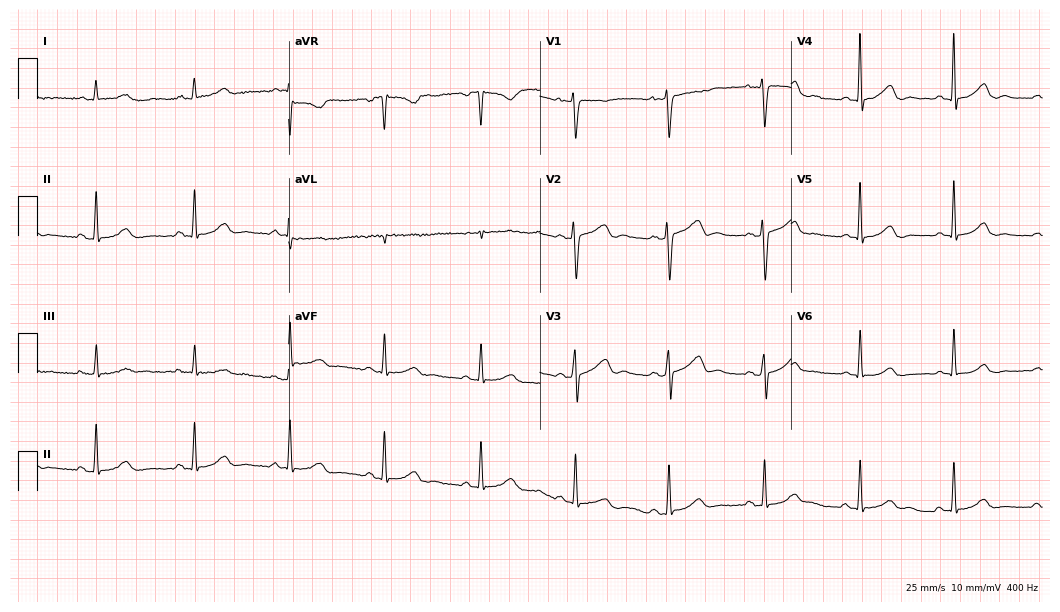
Standard 12-lead ECG recorded from a female, 47 years old (10.2-second recording at 400 Hz). Read as a normal ECG.